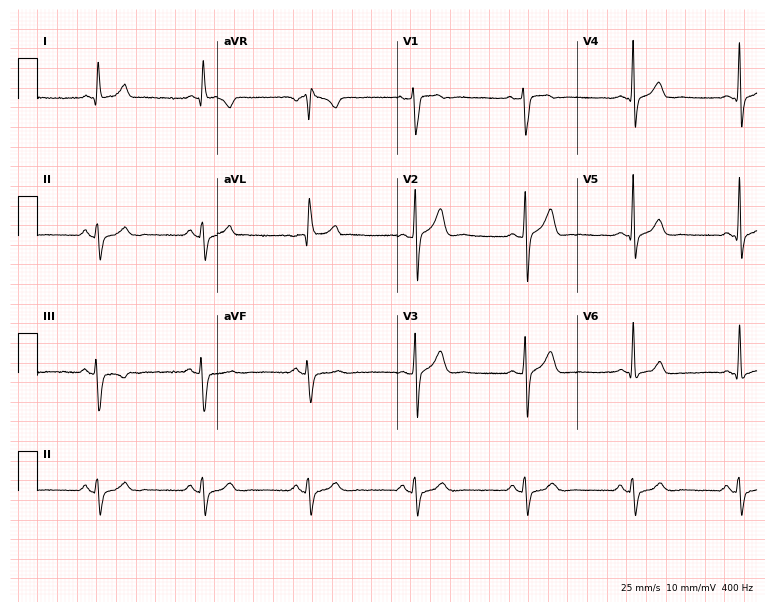
ECG — a man, 54 years old. Screened for six findings — first-degree AV block, right bundle branch block, left bundle branch block, sinus bradycardia, atrial fibrillation, sinus tachycardia — none is recorded.